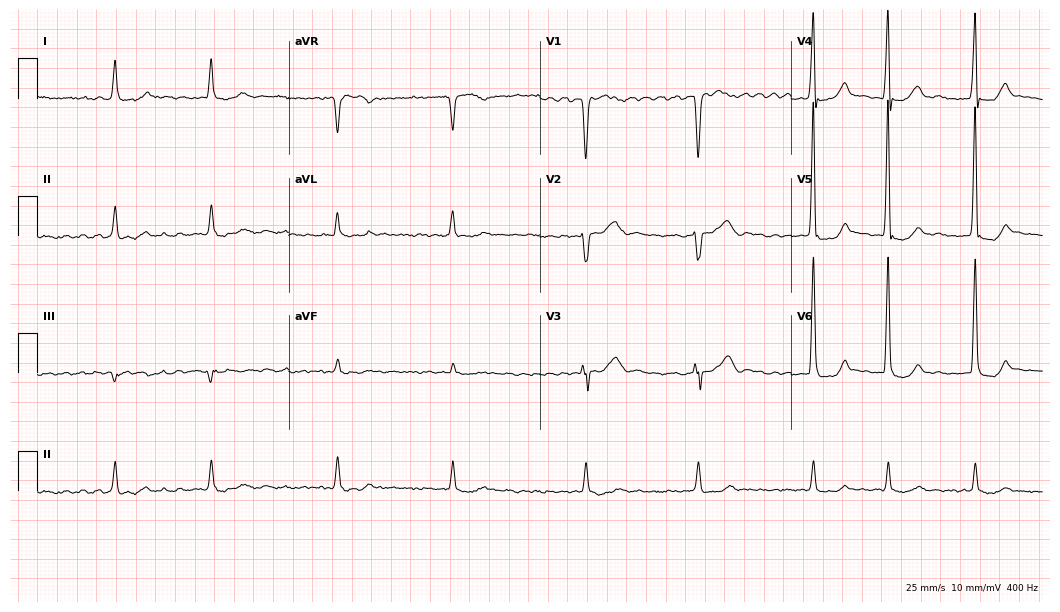
Resting 12-lead electrocardiogram. Patient: a 64-year-old male. The tracing shows atrial fibrillation (AF).